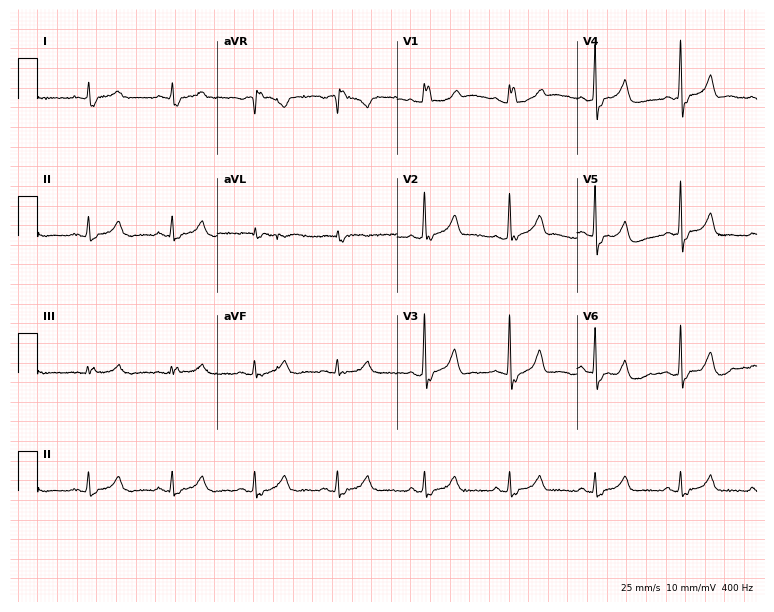
12-lead ECG from a 70-year-old female patient. No first-degree AV block, right bundle branch block (RBBB), left bundle branch block (LBBB), sinus bradycardia, atrial fibrillation (AF) or sinus tachycardia recorded for this tracing.